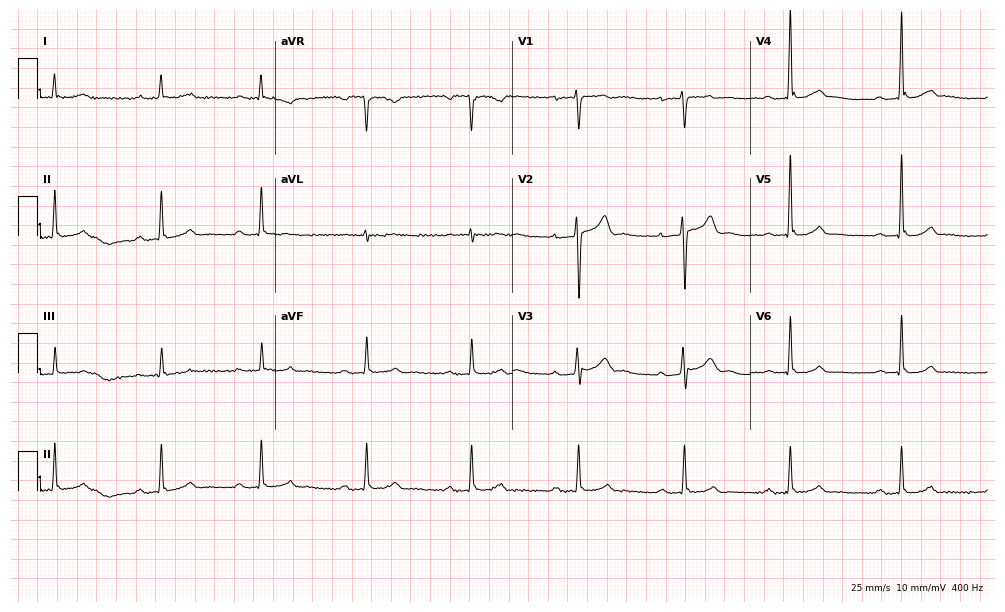
Electrocardiogram, a male patient, 37 years old. Interpretation includes first-degree AV block.